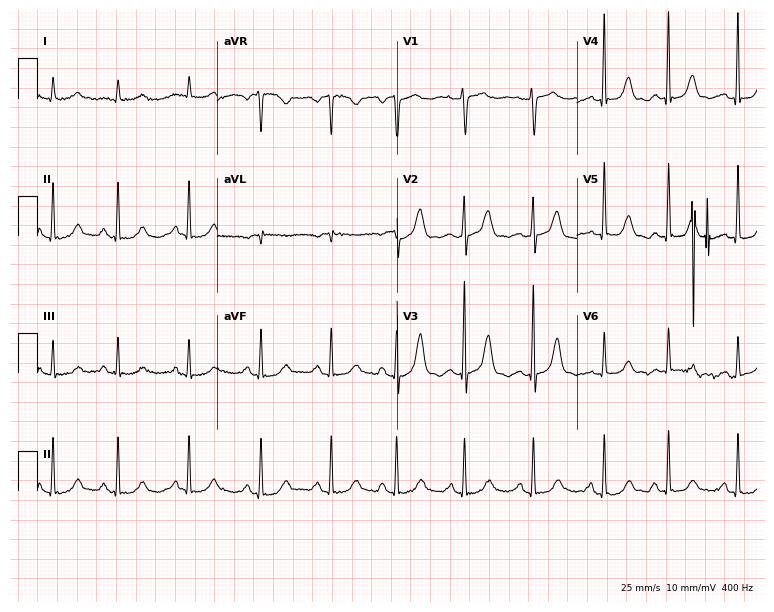
Electrocardiogram (7.3-second recording at 400 Hz), a 76-year-old female patient. Overall reading on record: normal ECG.